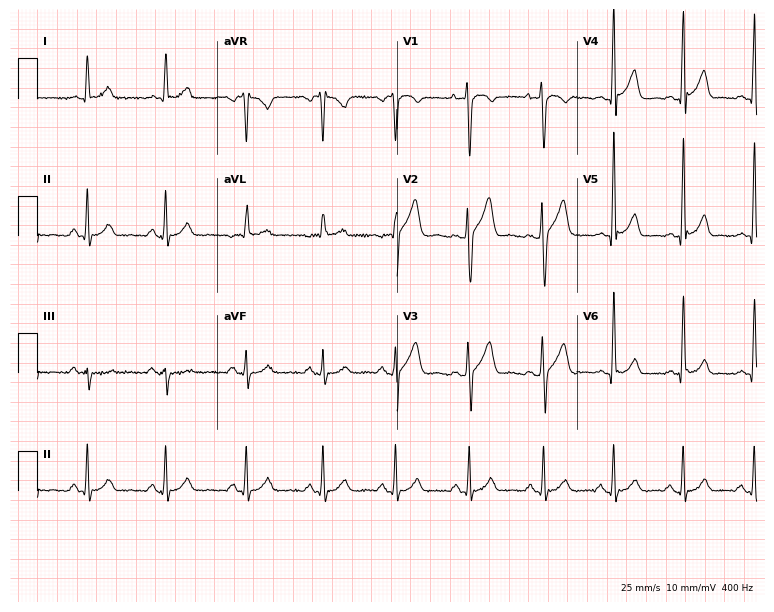
12-lead ECG from a 43-year-old male. Screened for six findings — first-degree AV block, right bundle branch block, left bundle branch block, sinus bradycardia, atrial fibrillation, sinus tachycardia — none is recorded. Other findings, if any, are not listed.